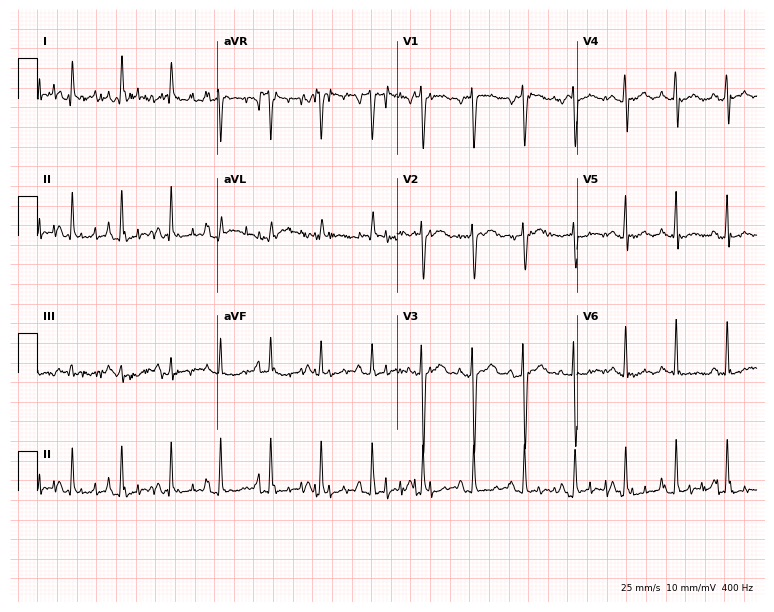
Resting 12-lead electrocardiogram. Patient: a female, 38 years old. The tracing shows sinus tachycardia (a sinus rate of 100 beats per minute or more).